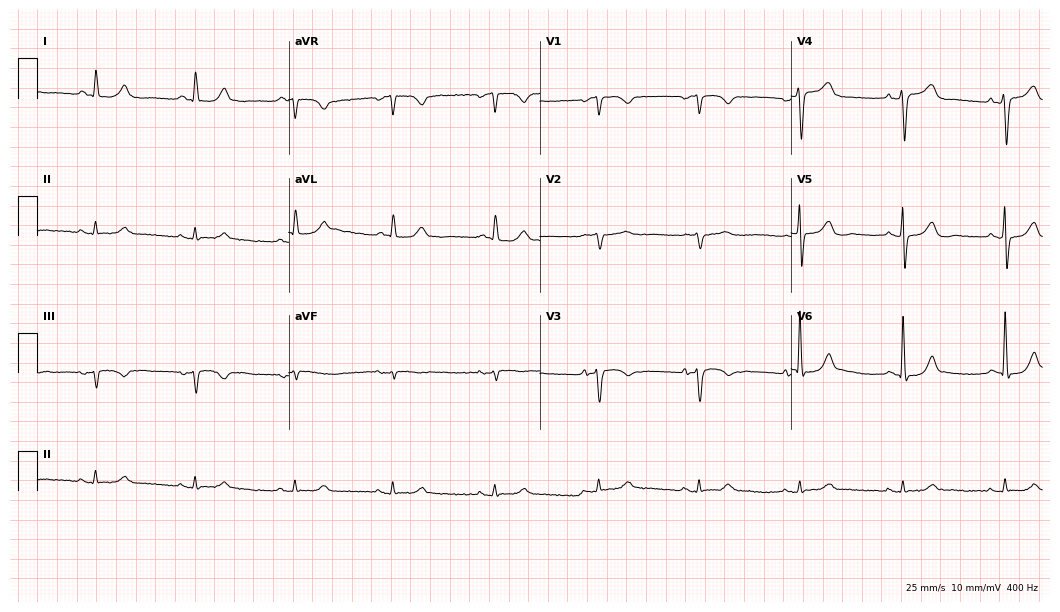
12-lead ECG (10.2-second recording at 400 Hz) from a woman, 78 years old. Labelled as a normal ECG.